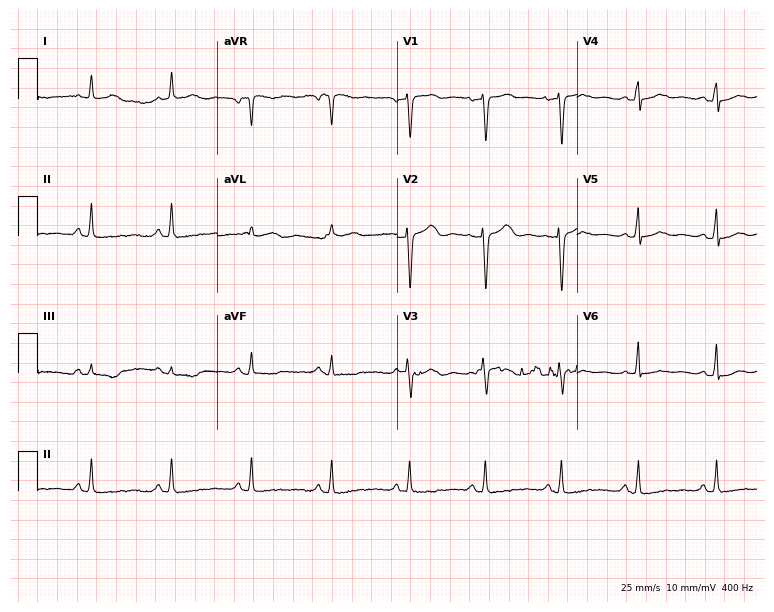
ECG — a 43-year-old female. Screened for six findings — first-degree AV block, right bundle branch block (RBBB), left bundle branch block (LBBB), sinus bradycardia, atrial fibrillation (AF), sinus tachycardia — none is recorded.